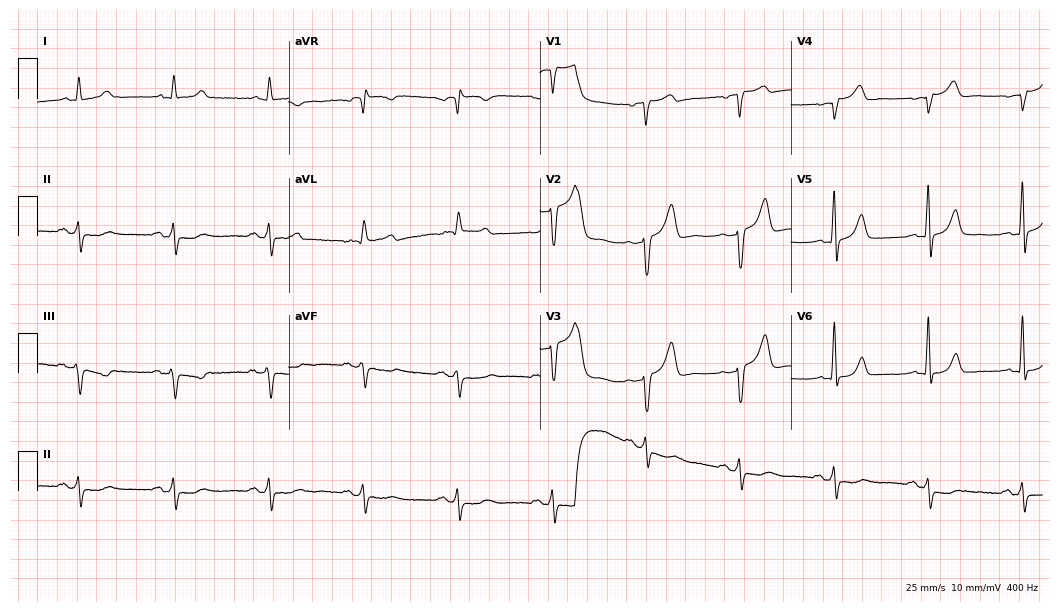
Resting 12-lead electrocardiogram. Patient: a male, 77 years old. None of these six findings is recorded: first-degree AV block, right bundle branch block, left bundle branch block, sinus bradycardia, atrial fibrillation, sinus tachycardia. Only these six findings were labelled.